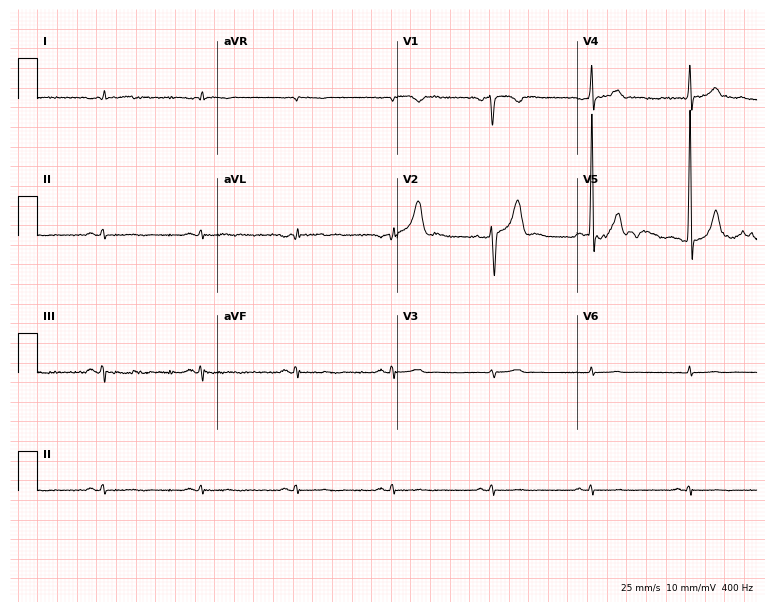
Electrocardiogram, a 53-year-old male patient. Of the six screened findings (first-degree AV block, right bundle branch block (RBBB), left bundle branch block (LBBB), sinus bradycardia, atrial fibrillation (AF), sinus tachycardia), none is recorded.